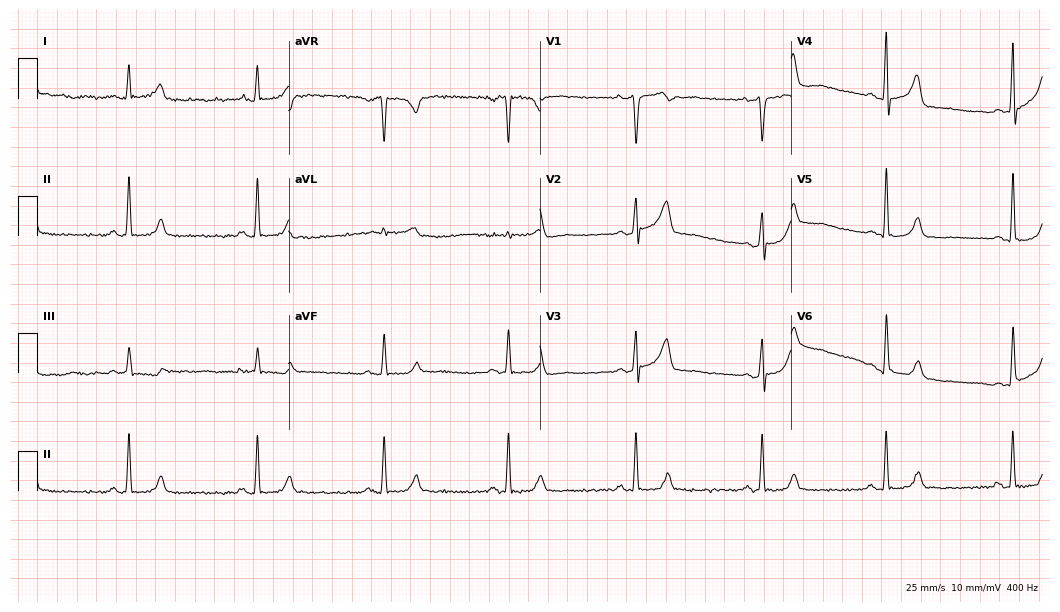
Electrocardiogram (10.2-second recording at 400 Hz), a man, 59 years old. Overall reading on record: normal ECG.